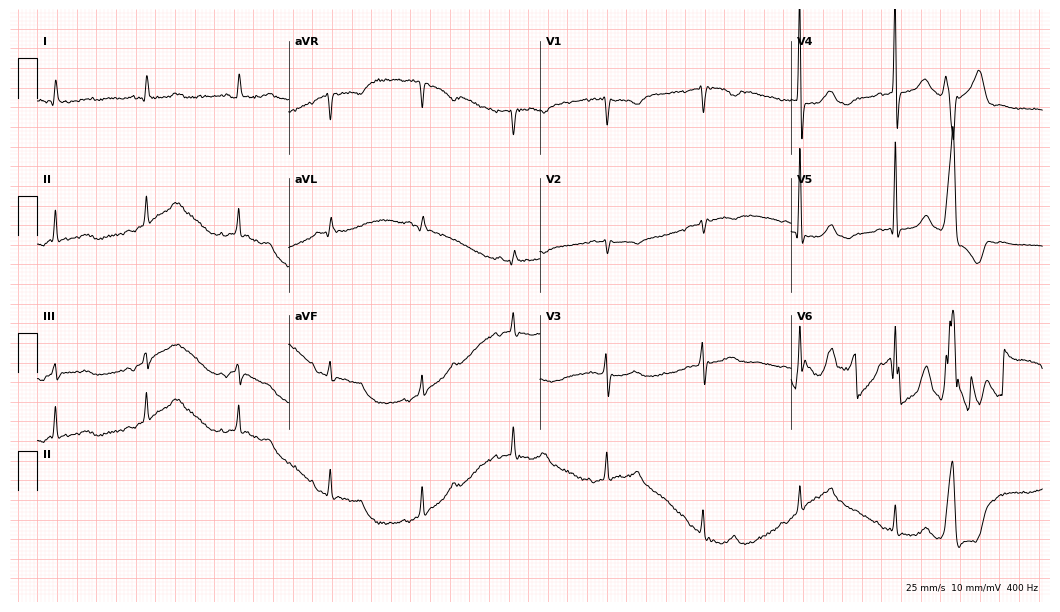
ECG — a male patient, 73 years old. Screened for six findings — first-degree AV block, right bundle branch block (RBBB), left bundle branch block (LBBB), sinus bradycardia, atrial fibrillation (AF), sinus tachycardia — none is recorded. Only these six findings were labelled.